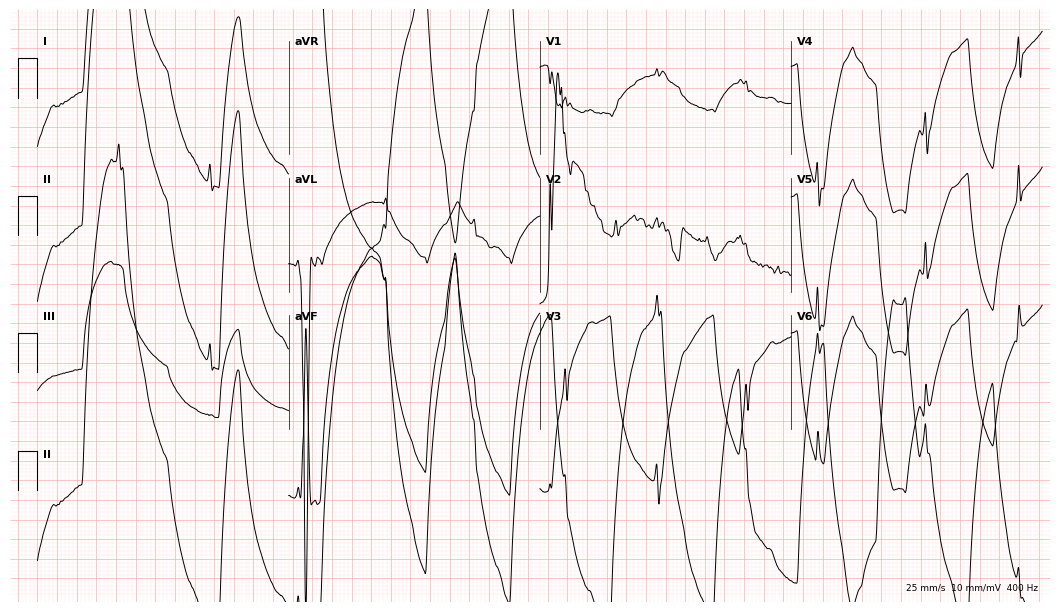
12-lead ECG (10.2-second recording at 400 Hz) from a female, 69 years old. Screened for six findings — first-degree AV block, right bundle branch block, left bundle branch block, sinus bradycardia, atrial fibrillation, sinus tachycardia — none is recorded. Only these six findings were labelled.